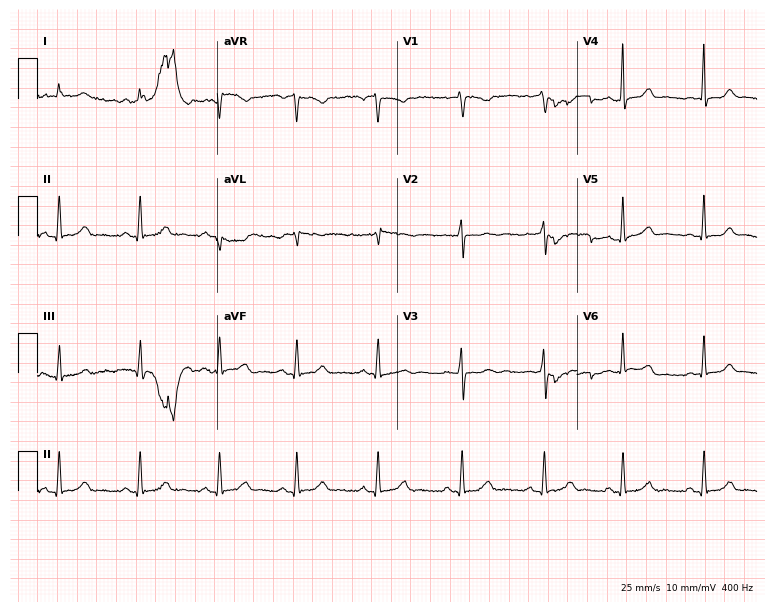
Electrocardiogram (7.3-second recording at 400 Hz), a female, 38 years old. Overall reading on record: normal ECG.